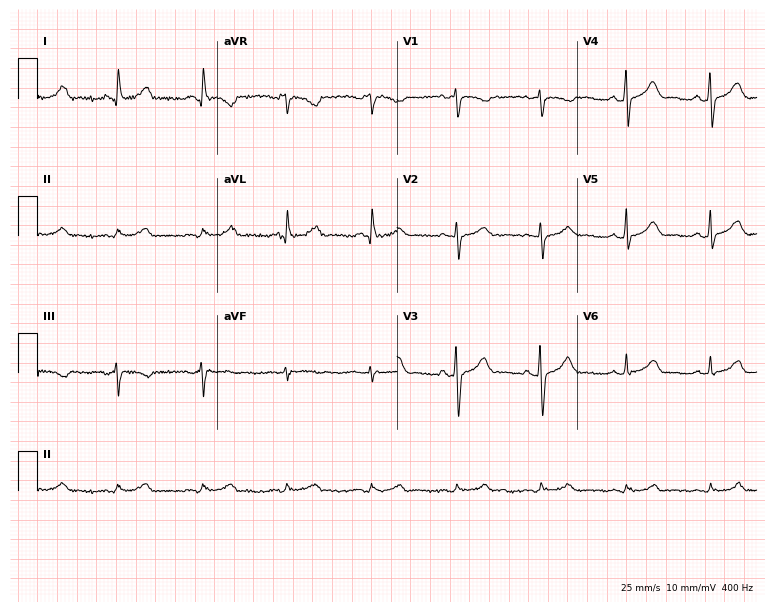
12-lead ECG (7.3-second recording at 400 Hz) from a 58-year-old female patient. Labelled as a normal ECG.